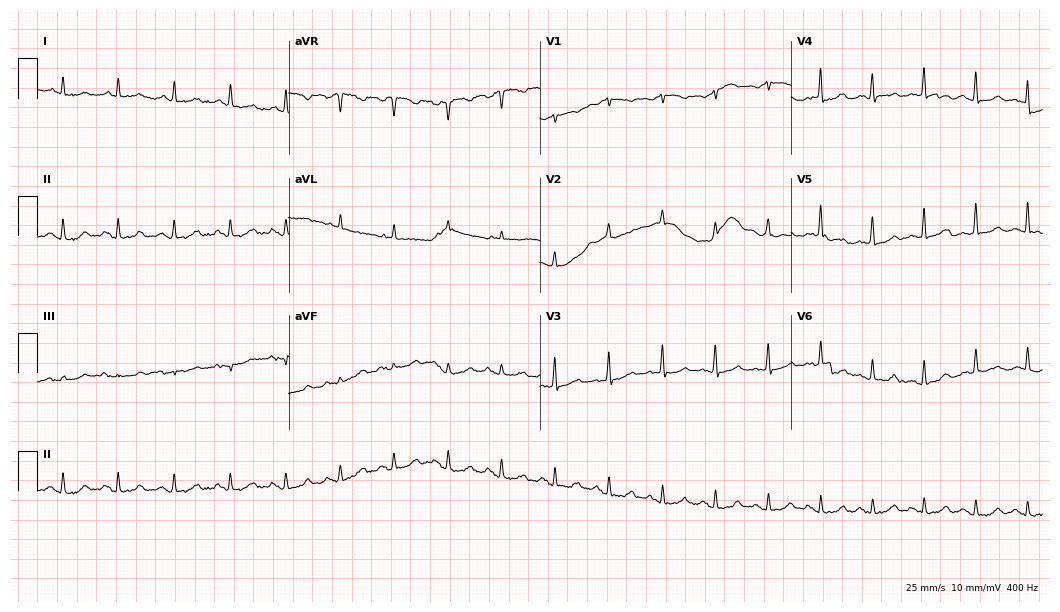
12-lead ECG from a female patient, 64 years old (10.2-second recording at 400 Hz). Shows sinus tachycardia (a sinus rate of 100 beats per minute or more).